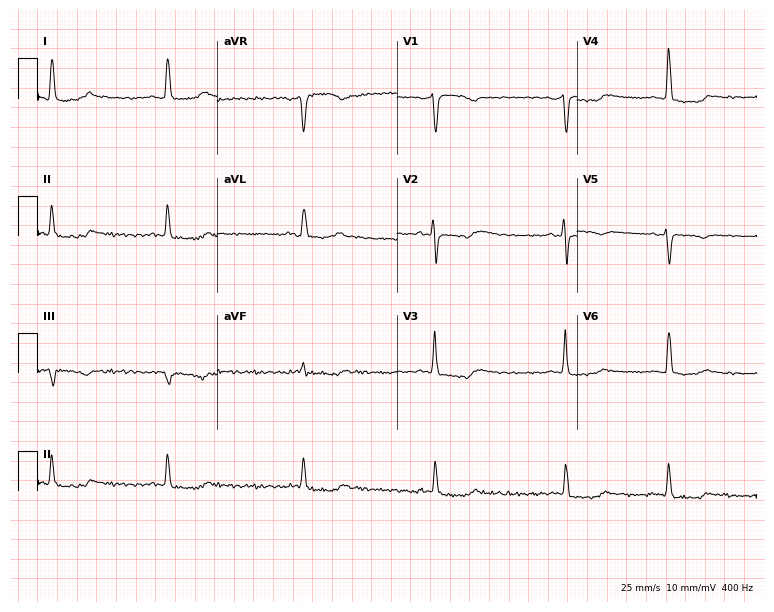
ECG (7.3-second recording at 400 Hz) — a 65-year-old female. Screened for six findings — first-degree AV block, right bundle branch block, left bundle branch block, sinus bradycardia, atrial fibrillation, sinus tachycardia — none is recorded.